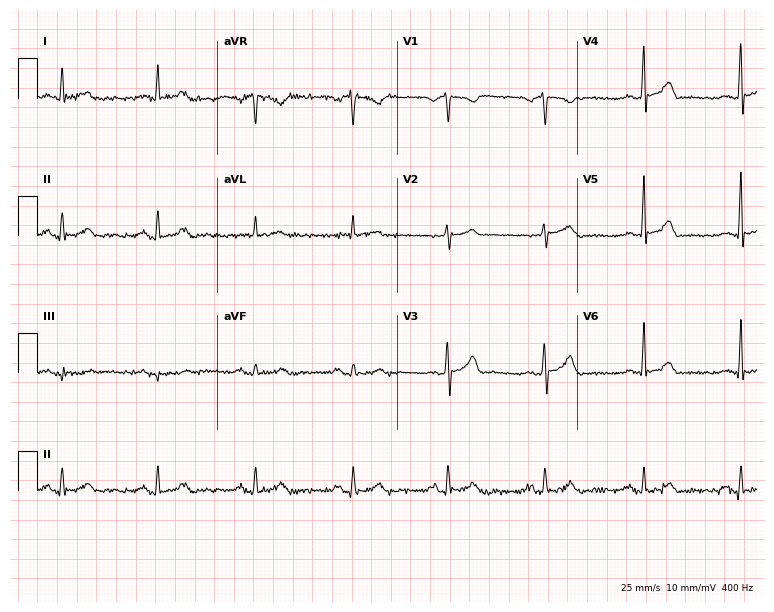
Resting 12-lead electrocardiogram. Patient: a 66-year-old male. None of these six findings is recorded: first-degree AV block, right bundle branch block, left bundle branch block, sinus bradycardia, atrial fibrillation, sinus tachycardia.